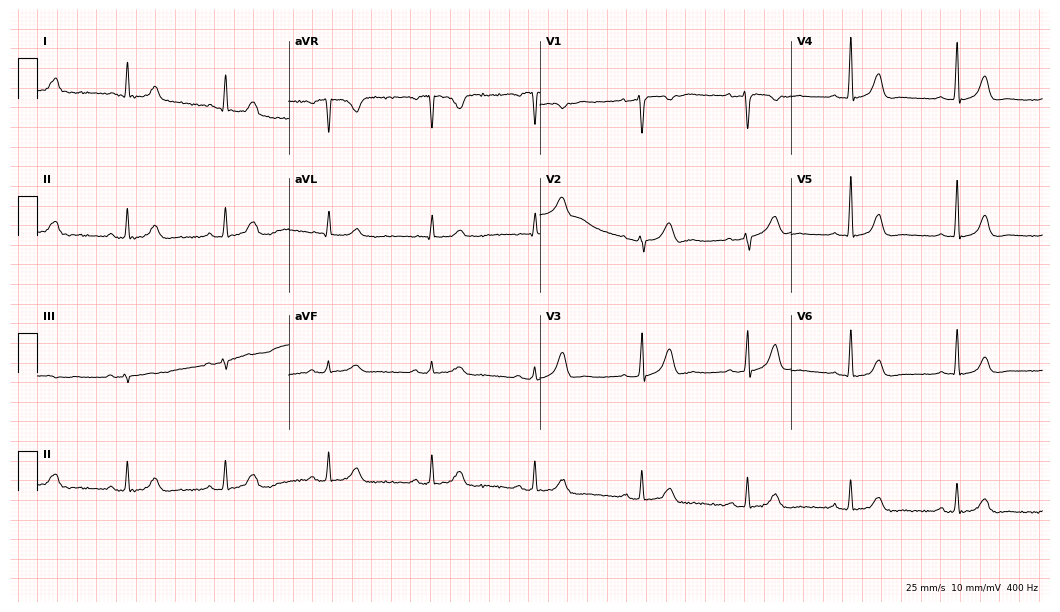
Resting 12-lead electrocardiogram. Patient: a 45-year-old female. Read as a normal ECG.